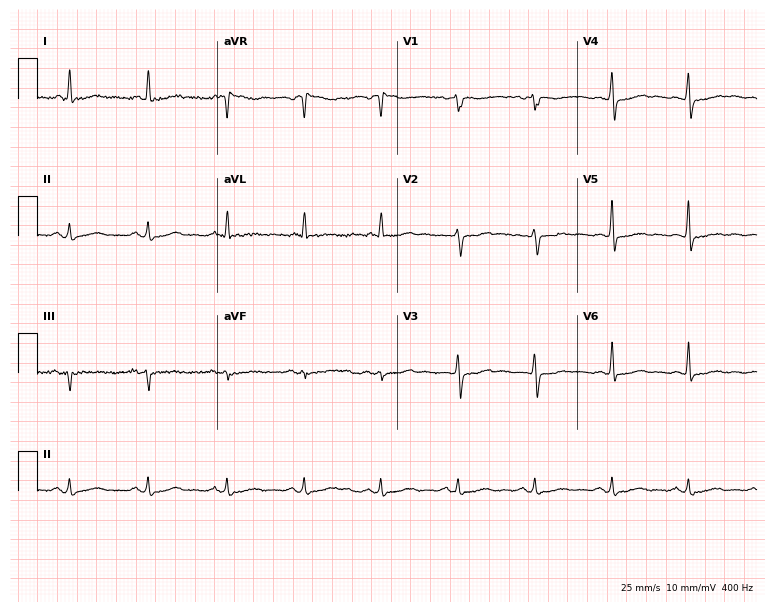
12-lead ECG from a 67-year-old female patient. Screened for six findings — first-degree AV block, right bundle branch block, left bundle branch block, sinus bradycardia, atrial fibrillation, sinus tachycardia — none is recorded.